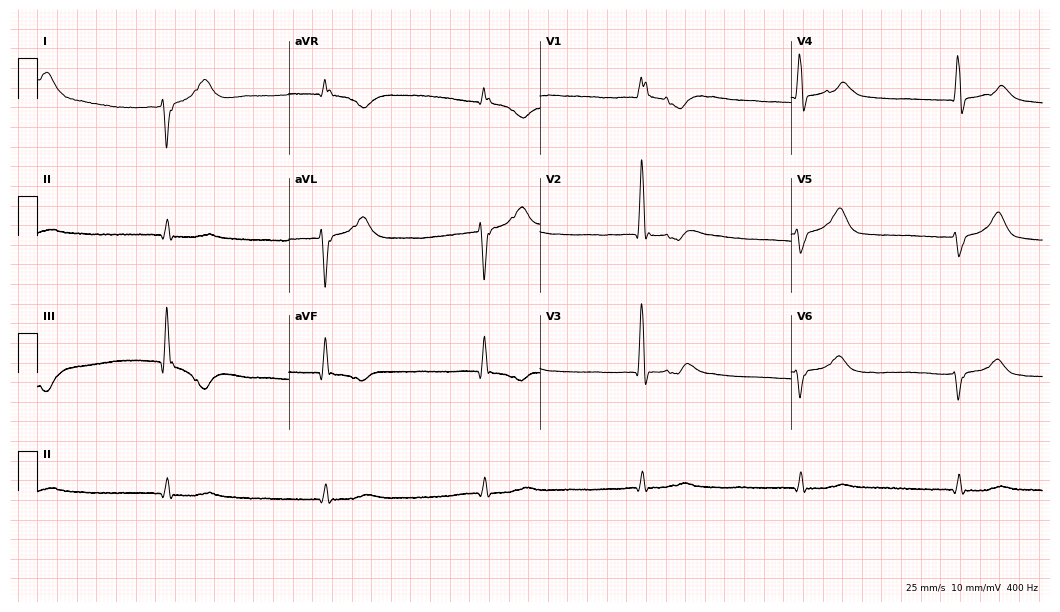
Electrocardiogram (10.2-second recording at 400 Hz), a 72-year-old man. Of the six screened findings (first-degree AV block, right bundle branch block (RBBB), left bundle branch block (LBBB), sinus bradycardia, atrial fibrillation (AF), sinus tachycardia), none is recorded. Findings outside these six are not listed.